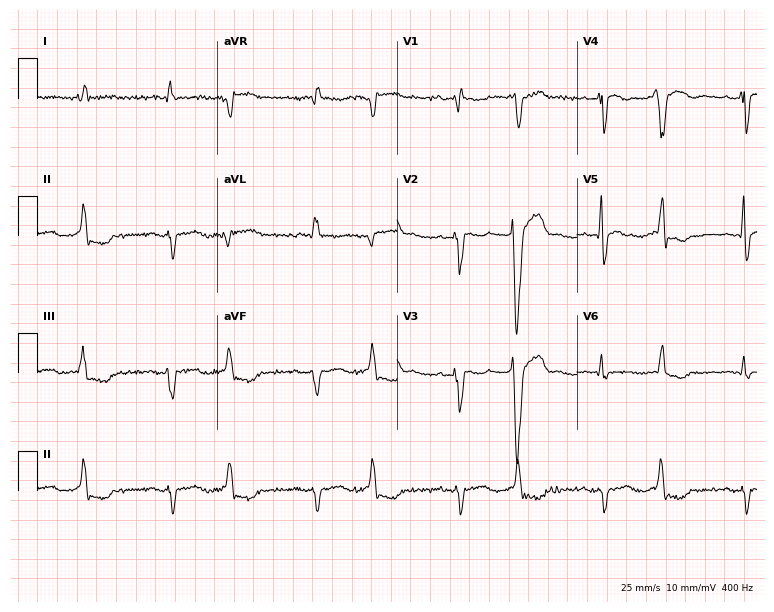
Resting 12-lead electrocardiogram. Patient: an 81-year-old female. None of these six findings is recorded: first-degree AV block, right bundle branch block, left bundle branch block, sinus bradycardia, atrial fibrillation, sinus tachycardia. Only these six findings were labelled.